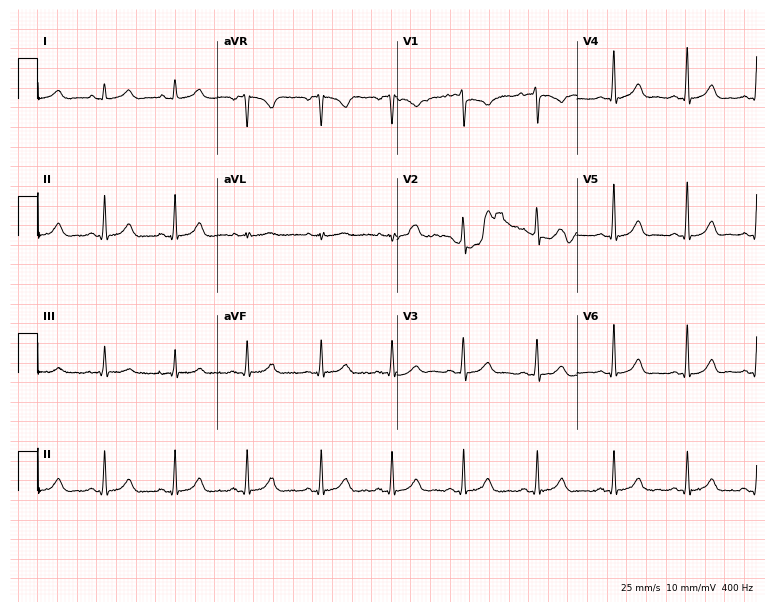
12-lead ECG from a 28-year-old female patient. Recorded interpretation: within normal limits.